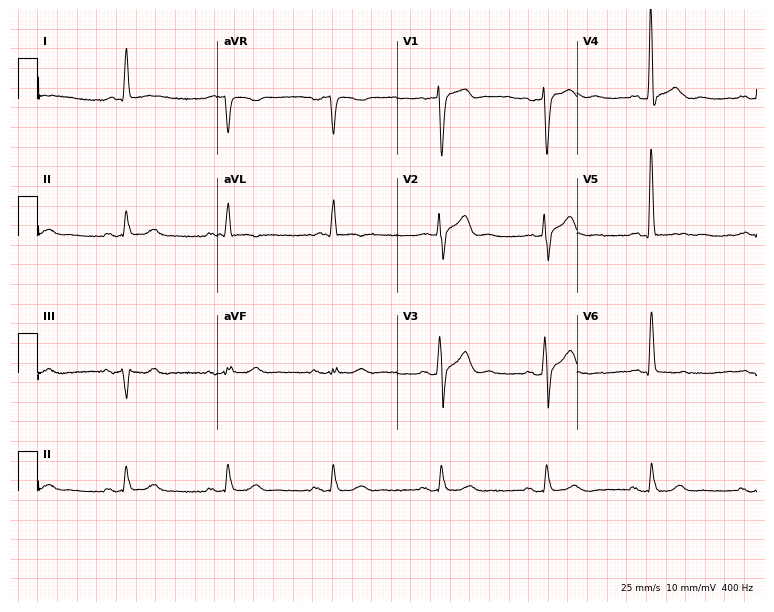
Standard 12-lead ECG recorded from a male, 83 years old. None of these six findings is recorded: first-degree AV block, right bundle branch block, left bundle branch block, sinus bradycardia, atrial fibrillation, sinus tachycardia.